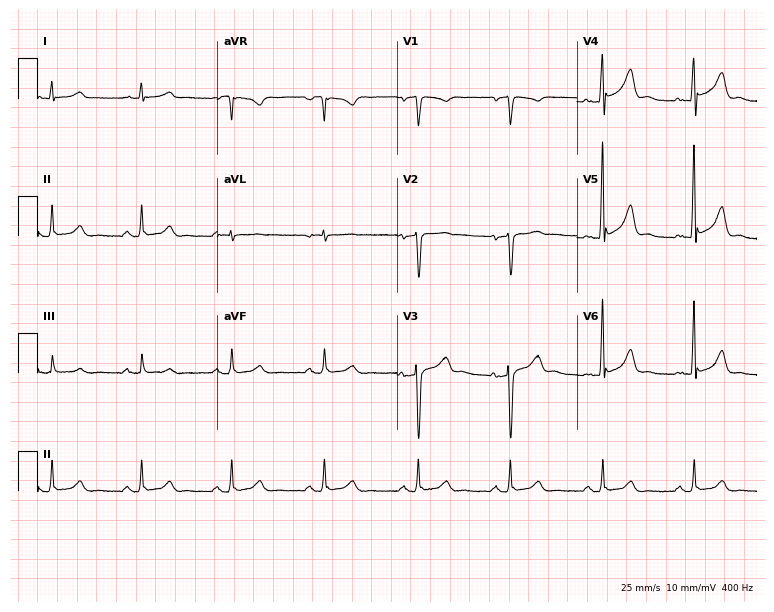
Standard 12-lead ECG recorded from a man, 50 years old (7.3-second recording at 400 Hz). Read as a normal ECG.